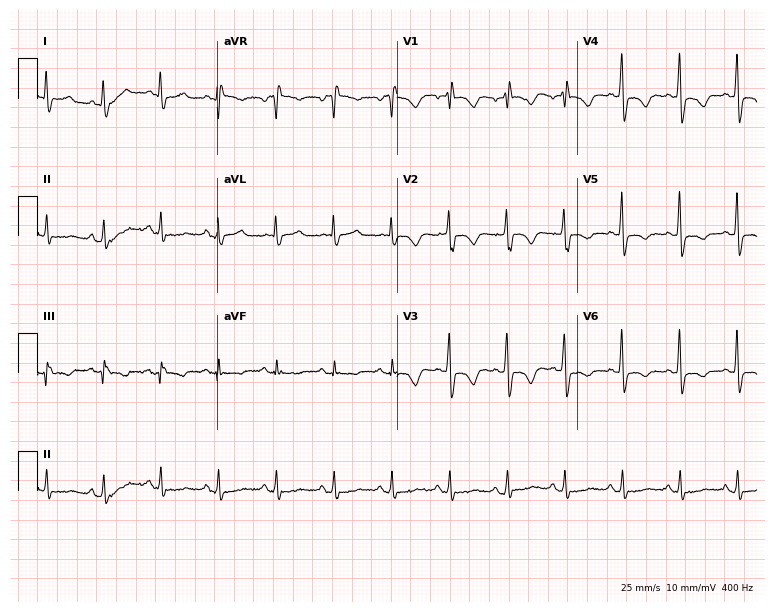
Standard 12-lead ECG recorded from a man, 60 years old. The tracing shows sinus tachycardia (a sinus rate of 100 beats per minute or more).